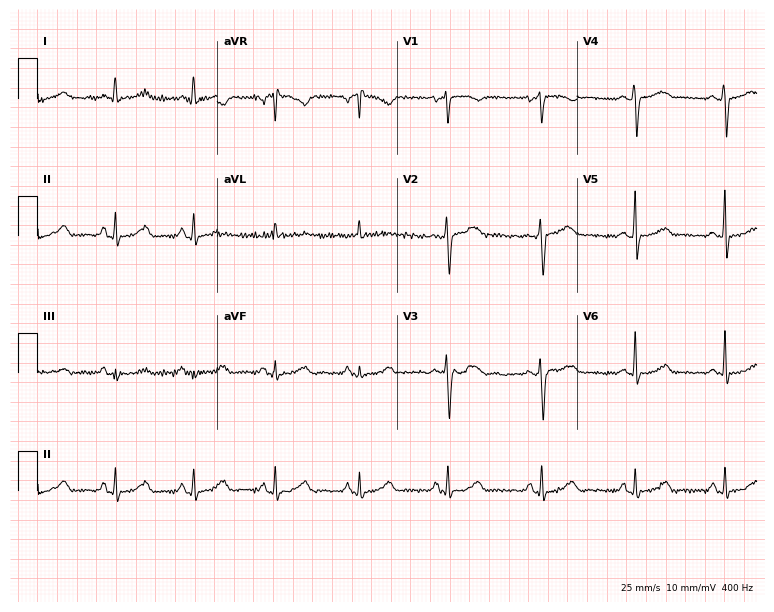
ECG — a female, 49 years old. Screened for six findings — first-degree AV block, right bundle branch block (RBBB), left bundle branch block (LBBB), sinus bradycardia, atrial fibrillation (AF), sinus tachycardia — none is recorded.